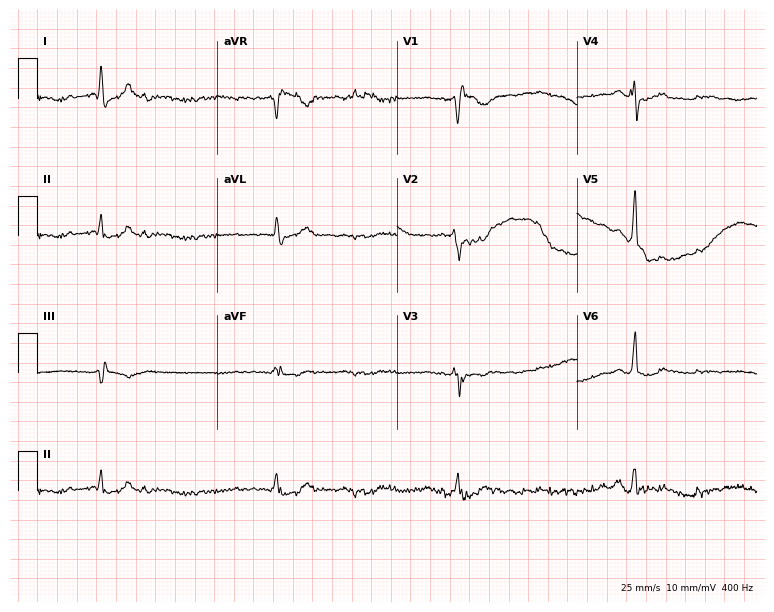
12-lead ECG (7.3-second recording at 400 Hz) from a 75-year-old man. Screened for six findings — first-degree AV block, right bundle branch block (RBBB), left bundle branch block (LBBB), sinus bradycardia, atrial fibrillation (AF), sinus tachycardia — none is recorded. Only these six findings were labelled.